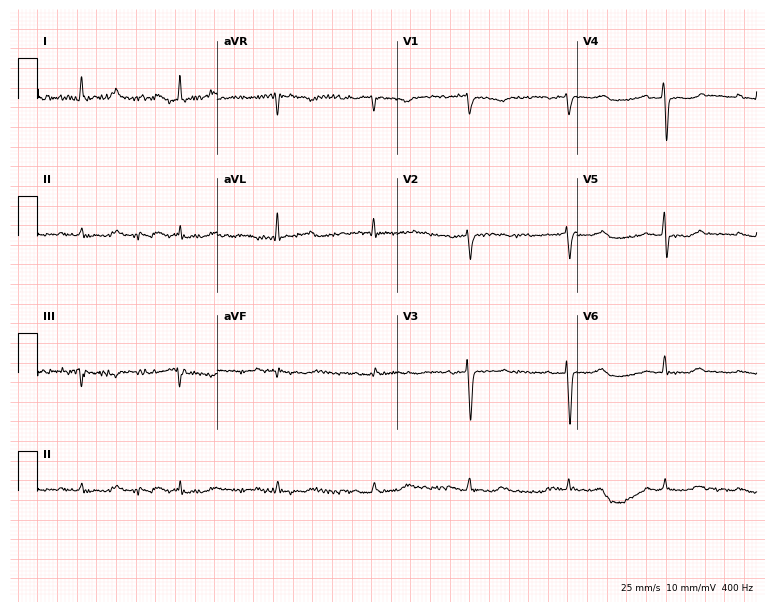
Electrocardiogram (7.3-second recording at 400 Hz), a 76-year-old female patient. Of the six screened findings (first-degree AV block, right bundle branch block, left bundle branch block, sinus bradycardia, atrial fibrillation, sinus tachycardia), none is recorded.